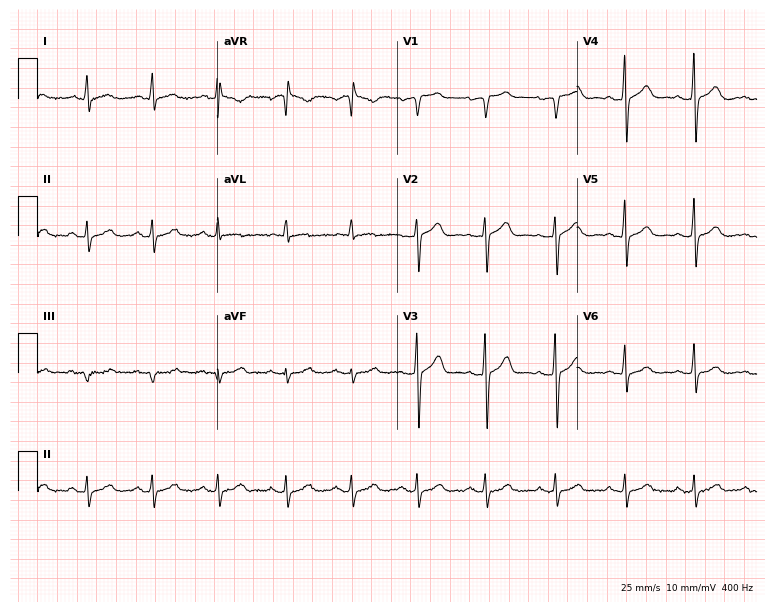
Resting 12-lead electrocardiogram. Patient: a 48-year-old male. Read as a normal ECG.